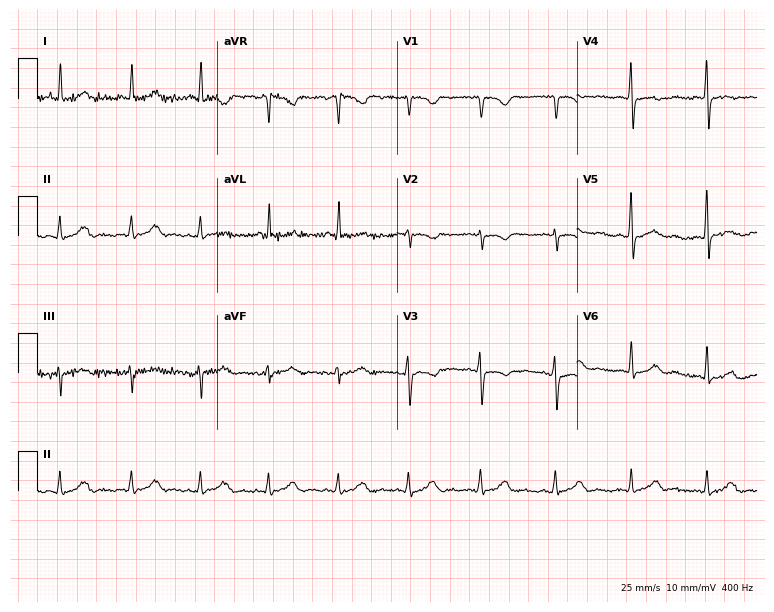
Standard 12-lead ECG recorded from a 53-year-old female patient. None of these six findings is recorded: first-degree AV block, right bundle branch block (RBBB), left bundle branch block (LBBB), sinus bradycardia, atrial fibrillation (AF), sinus tachycardia.